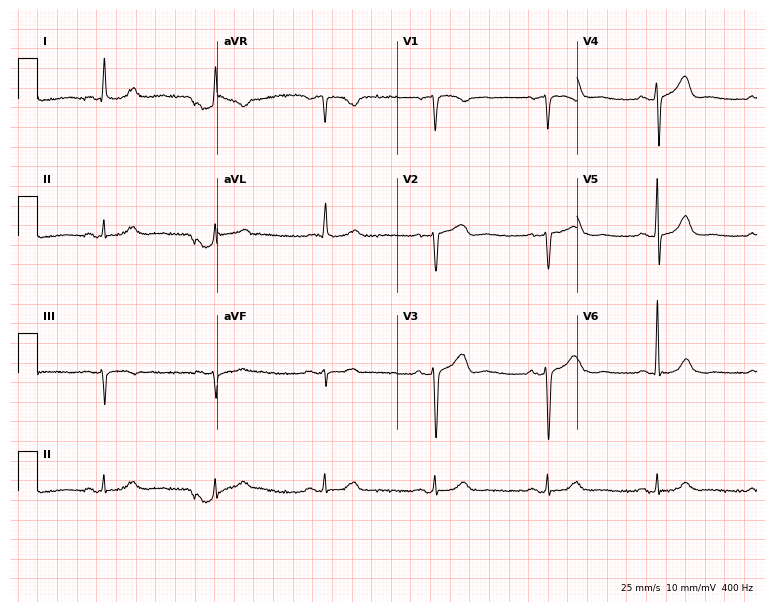
ECG (7.3-second recording at 400 Hz) — a man, 83 years old. Screened for six findings — first-degree AV block, right bundle branch block, left bundle branch block, sinus bradycardia, atrial fibrillation, sinus tachycardia — none is recorded.